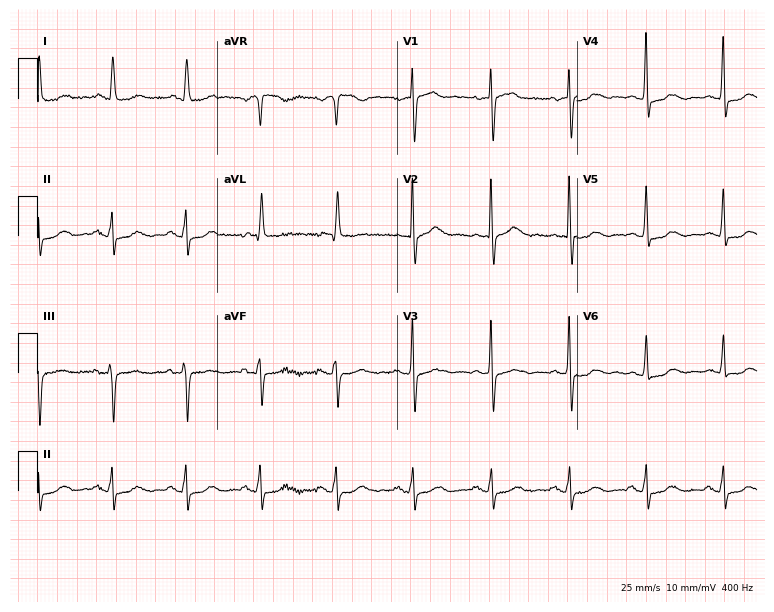
ECG (7.3-second recording at 400 Hz) — a female, 78 years old. Labelled as a normal ECG.